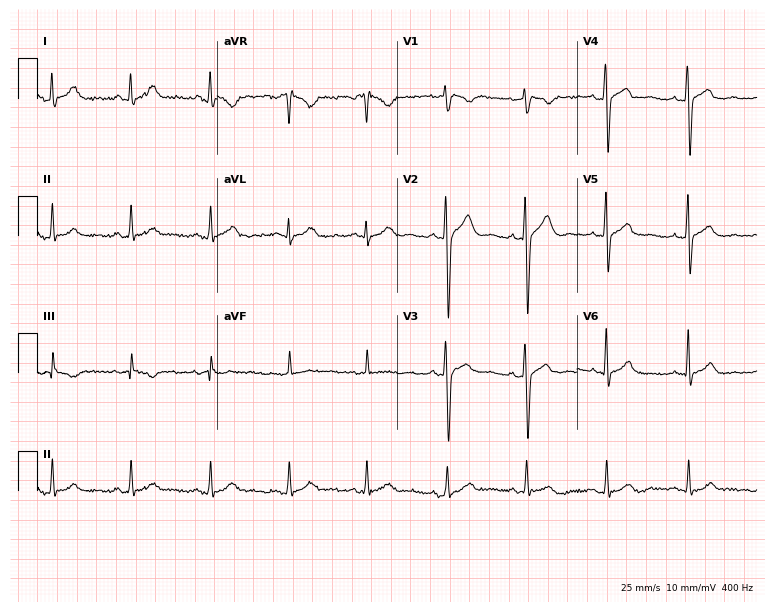
12-lead ECG from a 34-year-old male. Recorded interpretation: within normal limits.